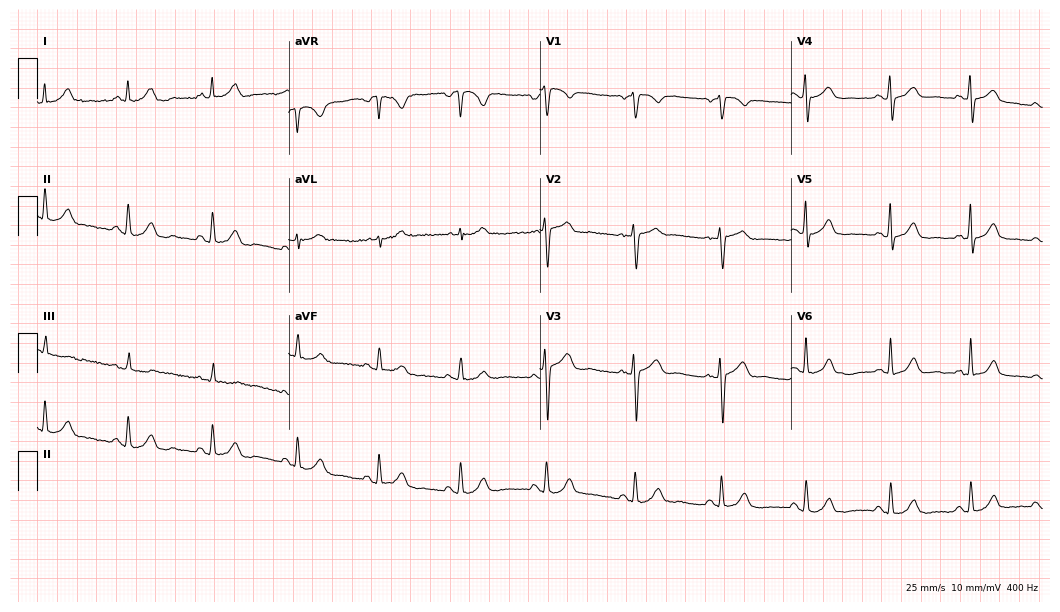
Electrocardiogram, a 28-year-old woman. Overall reading on record: normal ECG.